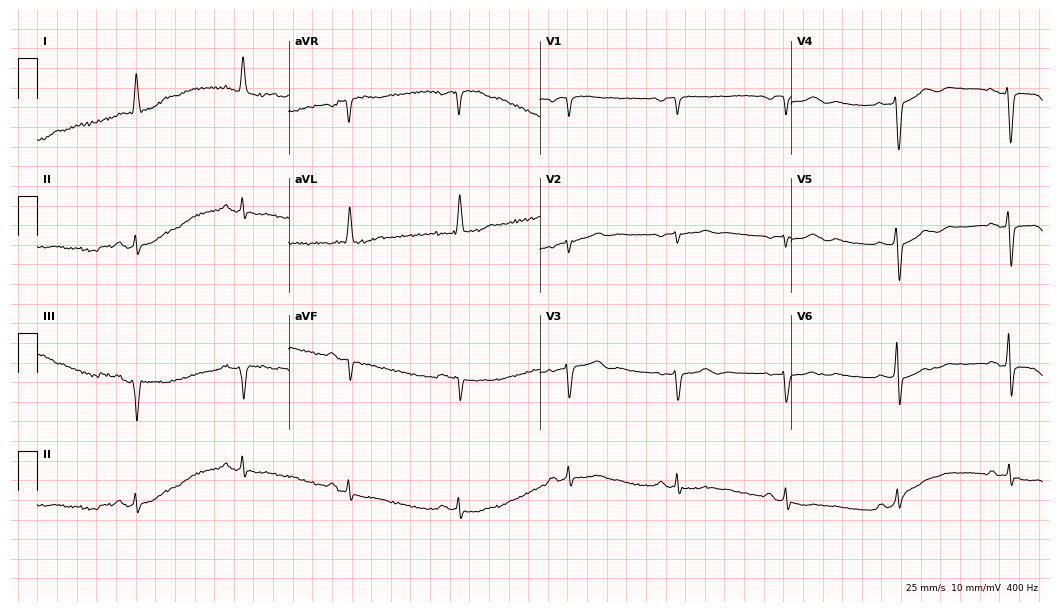
ECG — a female, 76 years old. Screened for six findings — first-degree AV block, right bundle branch block, left bundle branch block, sinus bradycardia, atrial fibrillation, sinus tachycardia — none is recorded.